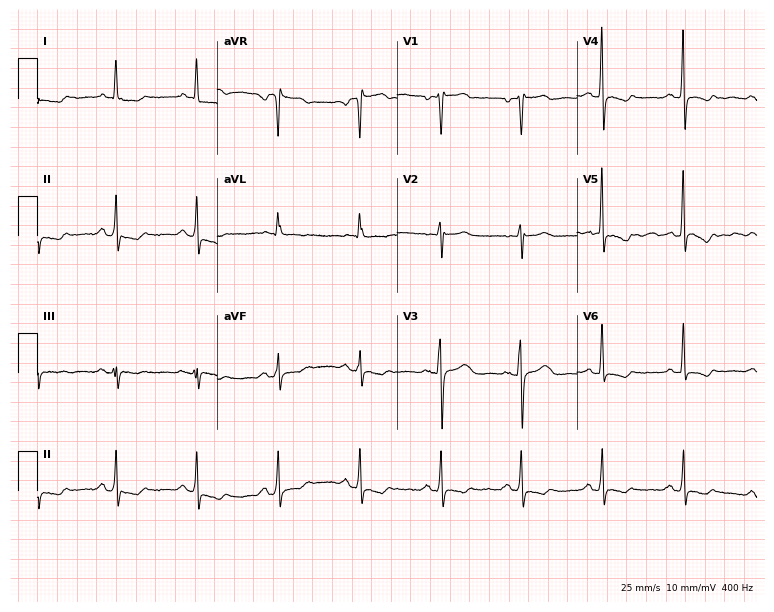
12-lead ECG (7.3-second recording at 400 Hz) from a woman, 50 years old. Screened for six findings — first-degree AV block, right bundle branch block, left bundle branch block, sinus bradycardia, atrial fibrillation, sinus tachycardia — none is recorded.